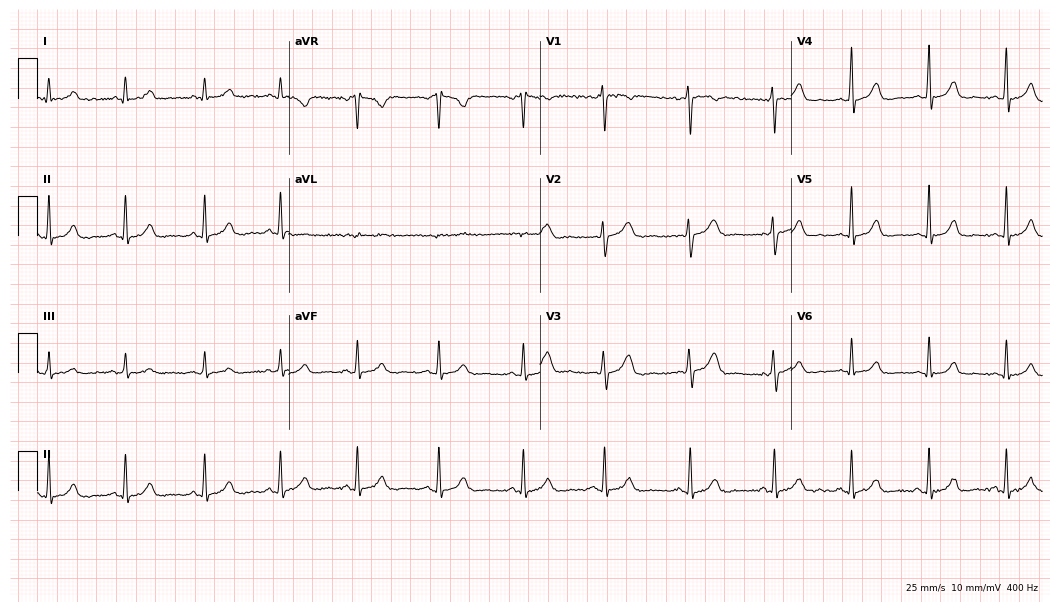
Standard 12-lead ECG recorded from a female, 41 years old (10.2-second recording at 400 Hz). None of these six findings is recorded: first-degree AV block, right bundle branch block, left bundle branch block, sinus bradycardia, atrial fibrillation, sinus tachycardia. Findings outside these six are not listed.